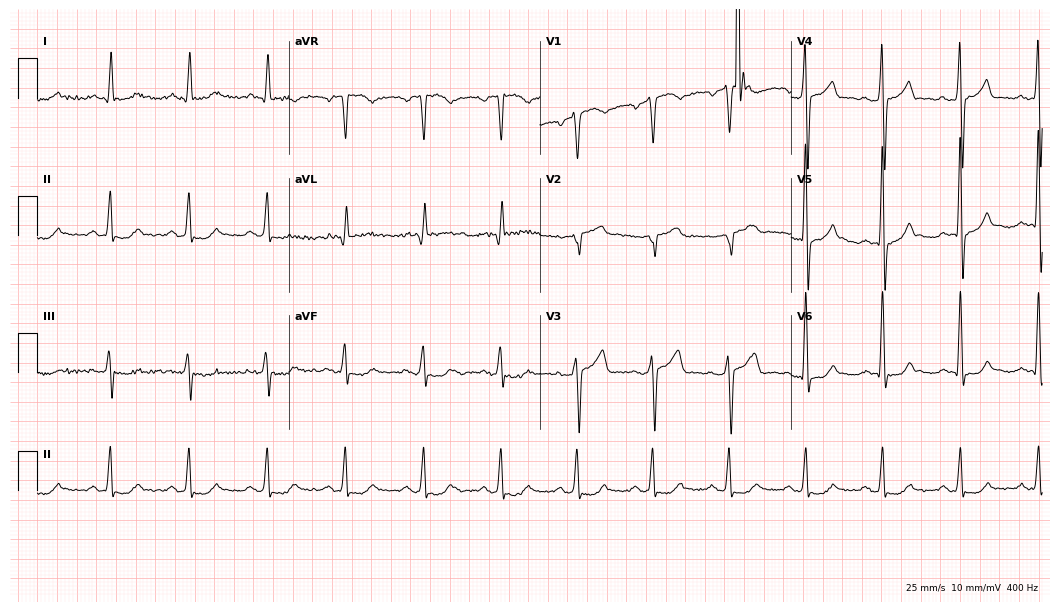
12-lead ECG from a 62-year-old male patient. Screened for six findings — first-degree AV block, right bundle branch block, left bundle branch block, sinus bradycardia, atrial fibrillation, sinus tachycardia — none is recorded.